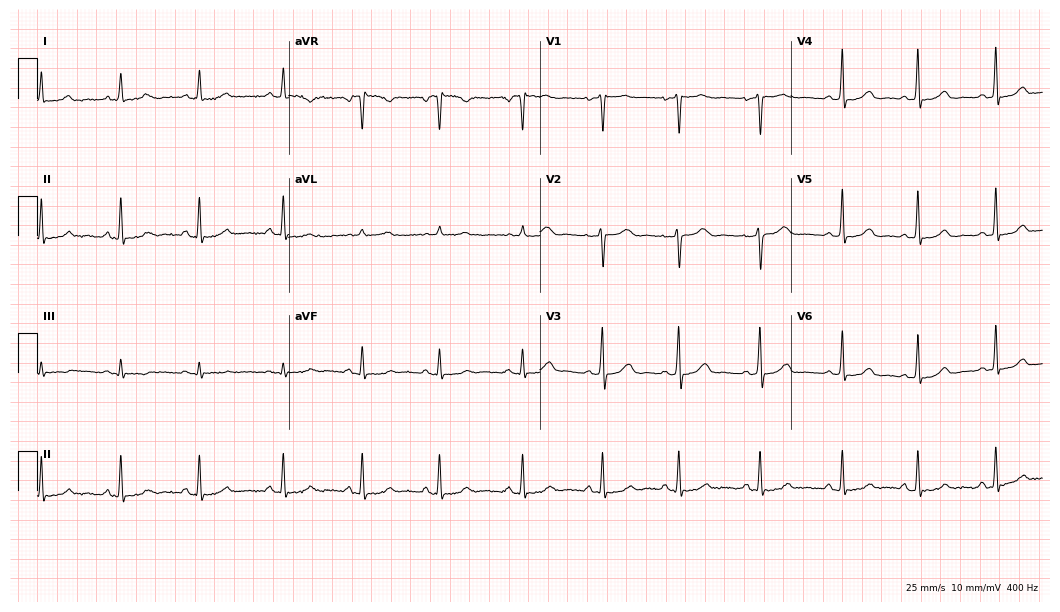
Resting 12-lead electrocardiogram (10.2-second recording at 400 Hz). Patient: a 29-year-old woman. None of these six findings is recorded: first-degree AV block, right bundle branch block (RBBB), left bundle branch block (LBBB), sinus bradycardia, atrial fibrillation (AF), sinus tachycardia.